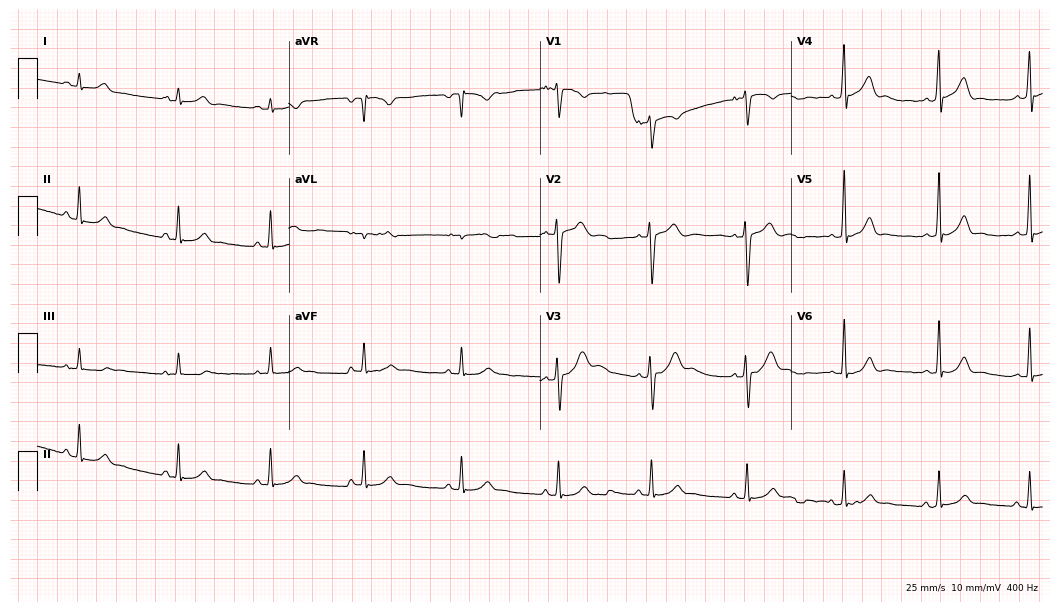
Resting 12-lead electrocardiogram. Patient: a 27-year-old man. Read as a normal ECG.